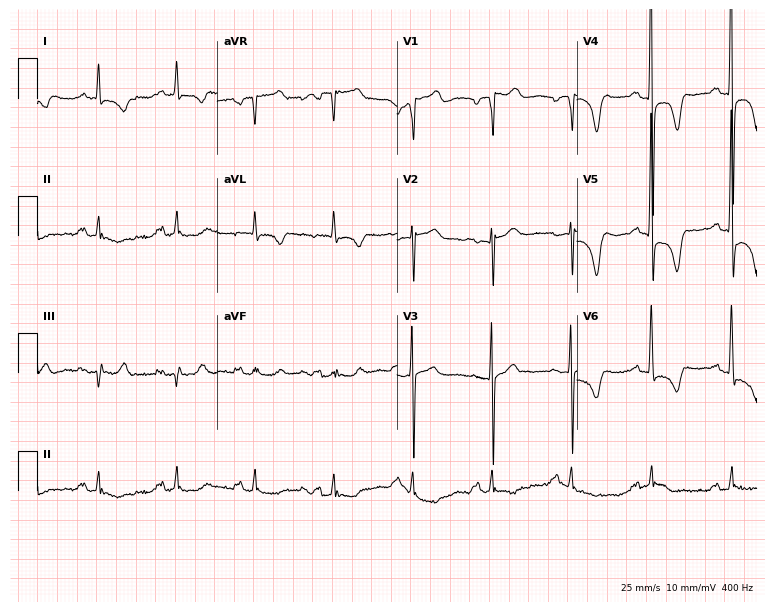
Resting 12-lead electrocardiogram. Patient: an 83-year-old man. None of these six findings is recorded: first-degree AV block, right bundle branch block (RBBB), left bundle branch block (LBBB), sinus bradycardia, atrial fibrillation (AF), sinus tachycardia.